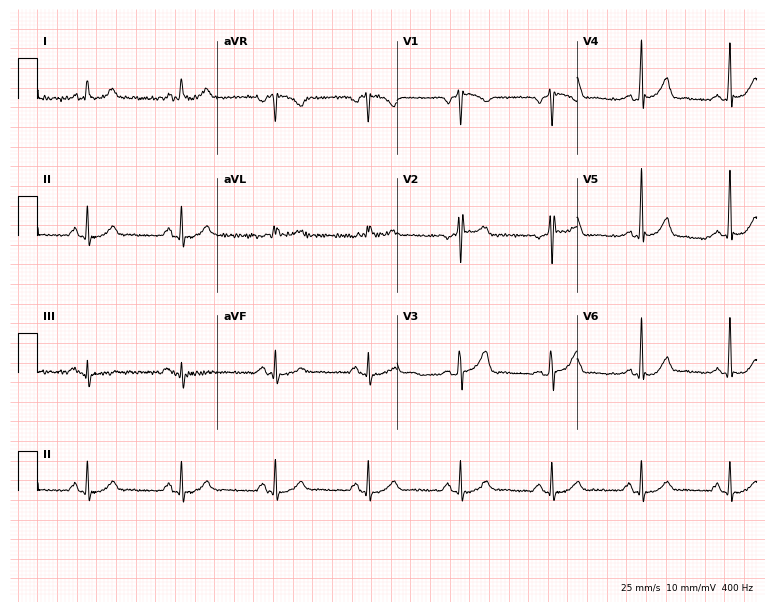
12-lead ECG from a 55-year-old man. Labelled as a normal ECG.